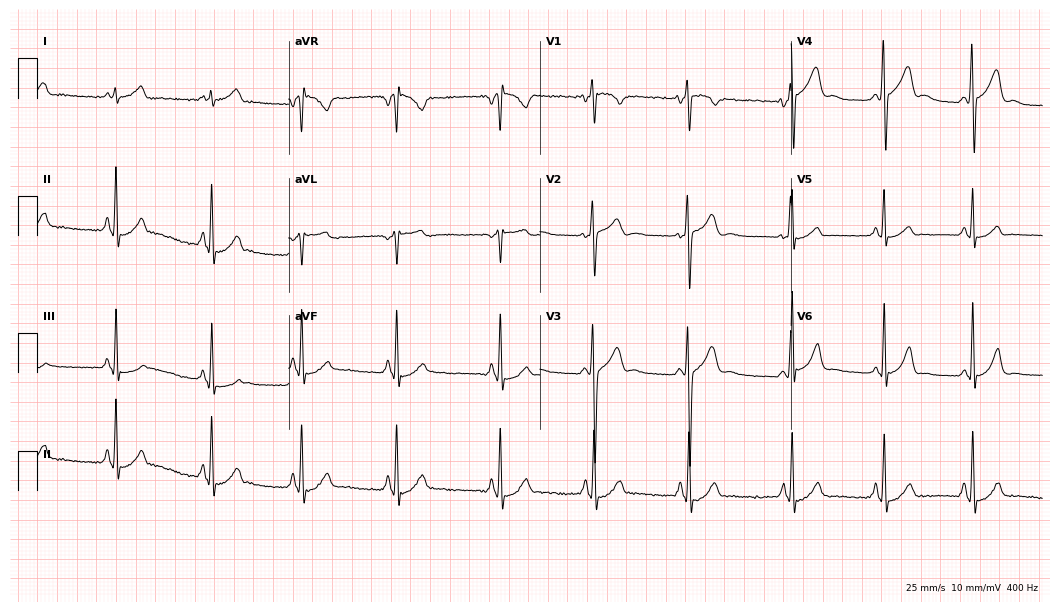
Resting 12-lead electrocardiogram. Patient: a 22-year-old male. None of these six findings is recorded: first-degree AV block, right bundle branch block, left bundle branch block, sinus bradycardia, atrial fibrillation, sinus tachycardia.